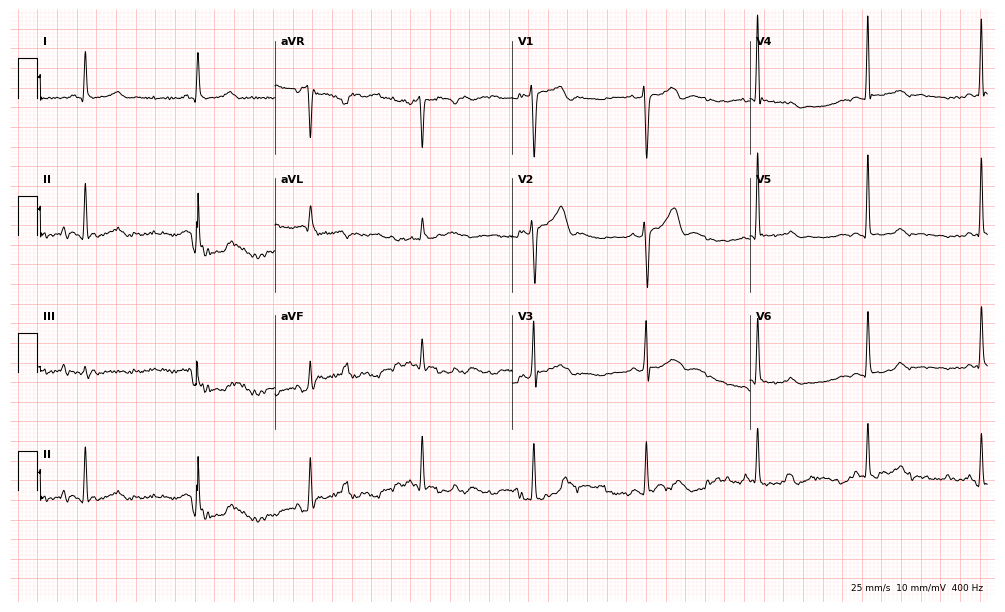
Electrocardiogram (9.7-second recording at 400 Hz), a 58-year-old male. Of the six screened findings (first-degree AV block, right bundle branch block, left bundle branch block, sinus bradycardia, atrial fibrillation, sinus tachycardia), none is recorded.